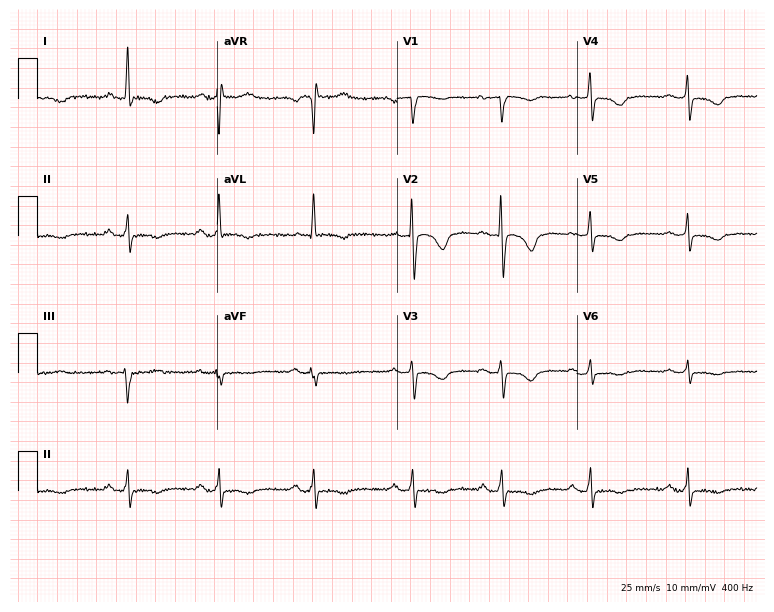
Electrocardiogram, a 53-year-old female patient. Of the six screened findings (first-degree AV block, right bundle branch block (RBBB), left bundle branch block (LBBB), sinus bradycardia, atrial fibrillation (AF), sinus tachycardia), none is recorded. Only these six findings were labelled.